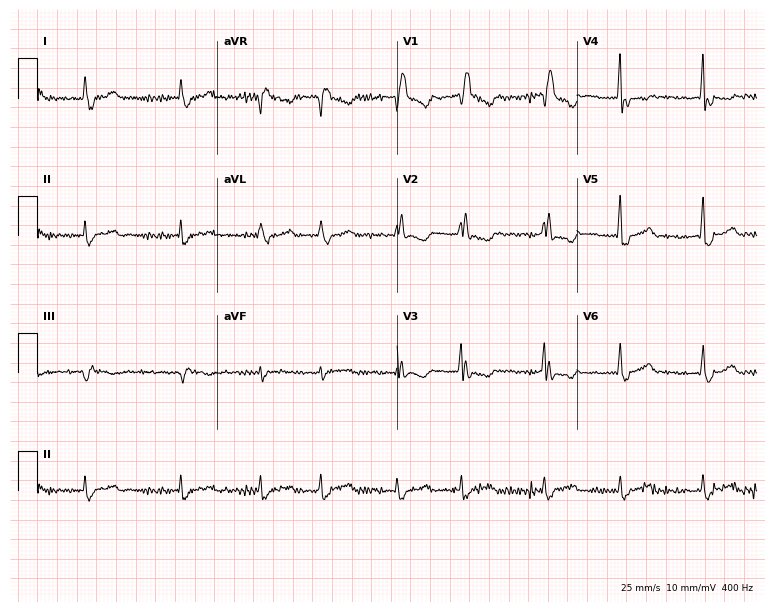
12-lead ECG from a male, 61 years old (7.3-second recording at 400 Hz). Shows right bundle branch block, atrial fibrillation.